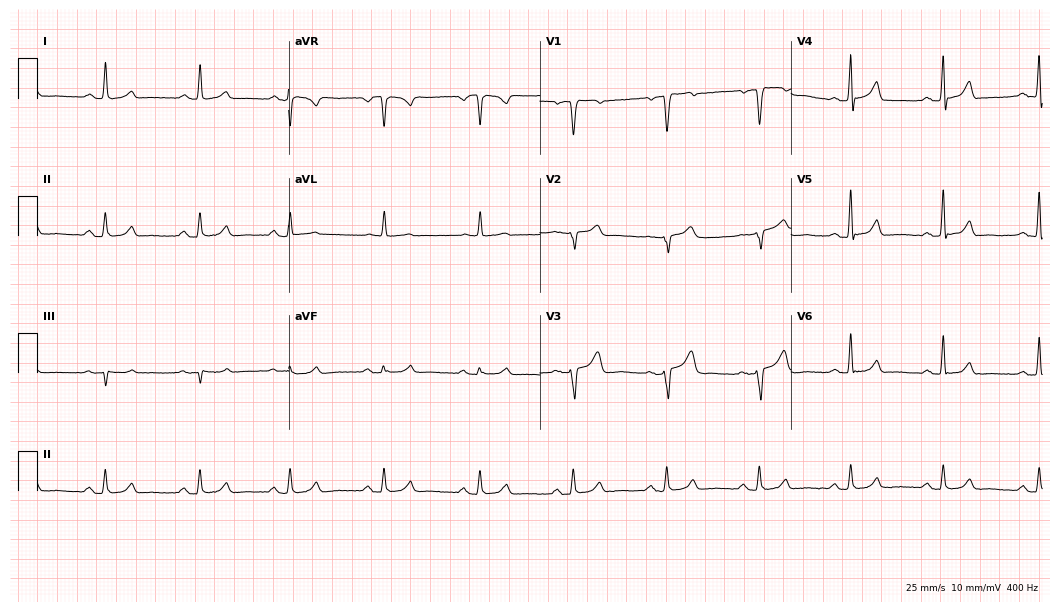
12-lead ECG (10.2-second recording at 400 Hz) from a 57-year-old female. Labelled as a normal ECG.